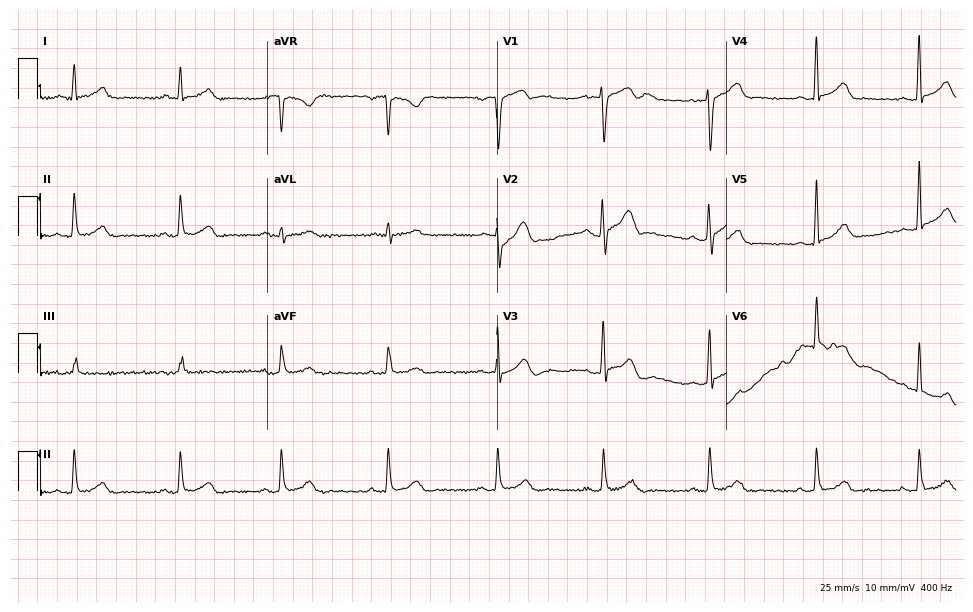
Electrocardiogram, a 43-year-old man. Overall reading on record: normal ECG.